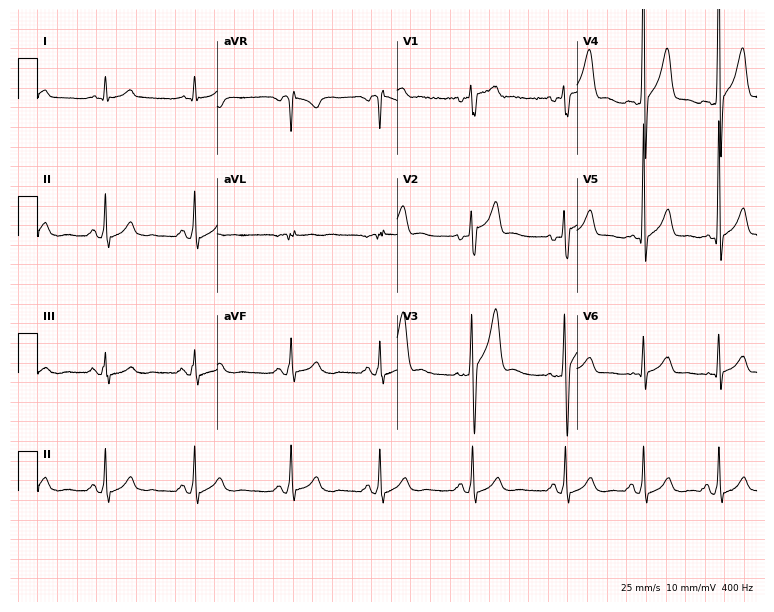
Standard 12-lead ECG recorded from a 33-year-old man. None of these six findings is recorded: first-degree AV block, right bundle branch block, left bundle branch block, sinus bradycardia, atrial fibrillation, sinus tachycardia.